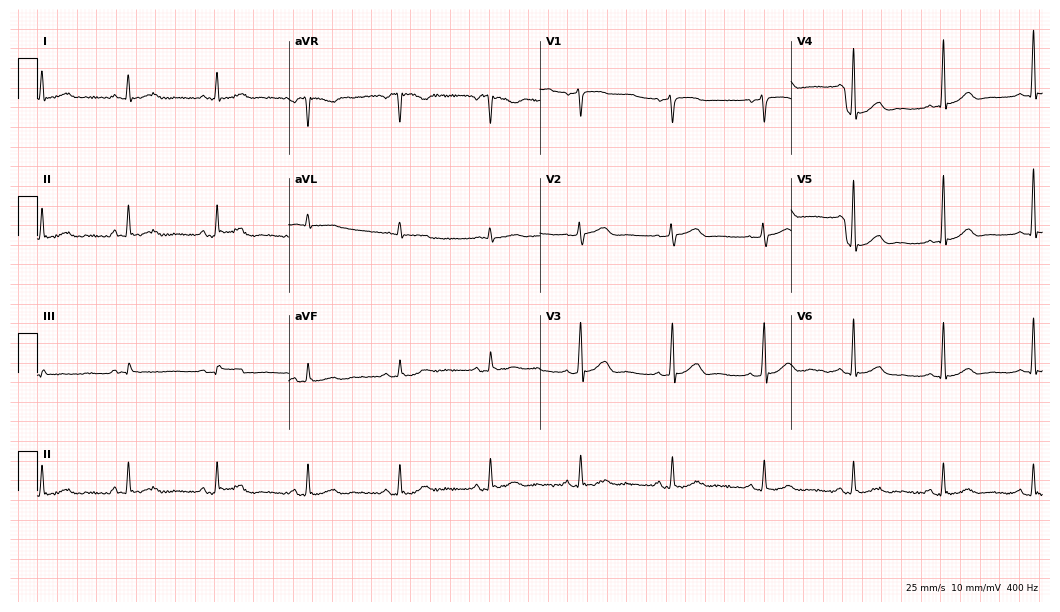
12-lead ECG from a man, 55 years old. No first-degree AV block, right bundle branch block, left bundle branch block, sinus bradycardia, atrial fibrillation or sinus tachycardia recorded for this tracing.